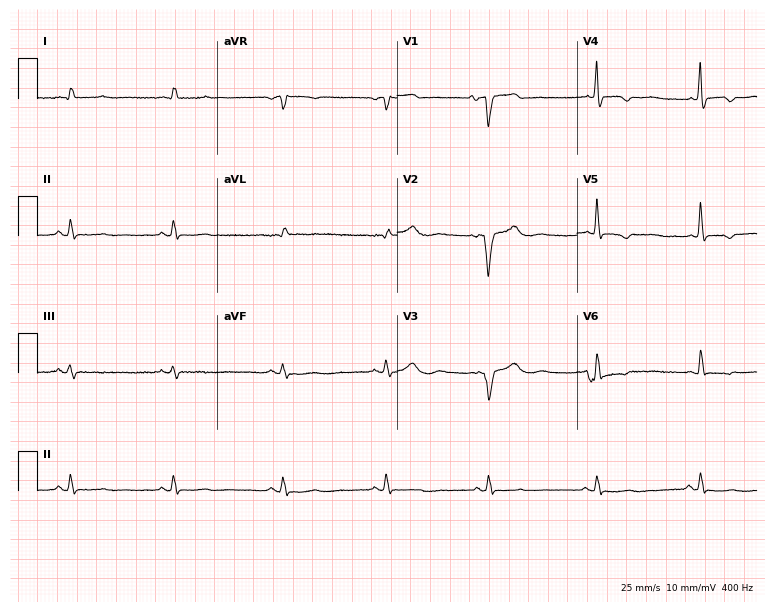
Standard 12-lead ECG recorded from a female patient, 80 years old (7.3-second recording at 400 Hz). None of these six findings is recorded: first-degree AV block, right bundle branch block, left bundle branch block, sinus bradycardia, atrial fibrillation, sinus tachycardia.